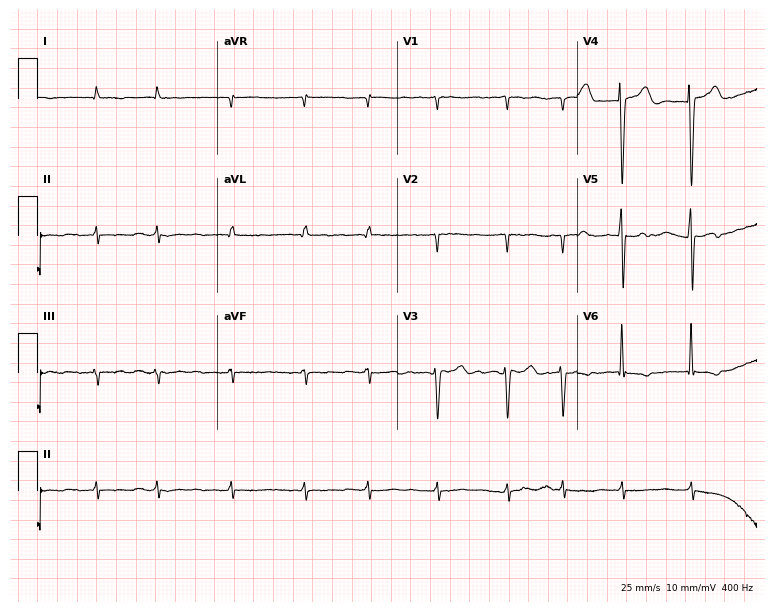
12-lead ECG from a female patient, 81 years old. No first-degree AV block, right bundle branch block, left bundle branch block, sinus bradycardia, atrial fibrillation or sinus tachycardia recorded for this tracing.